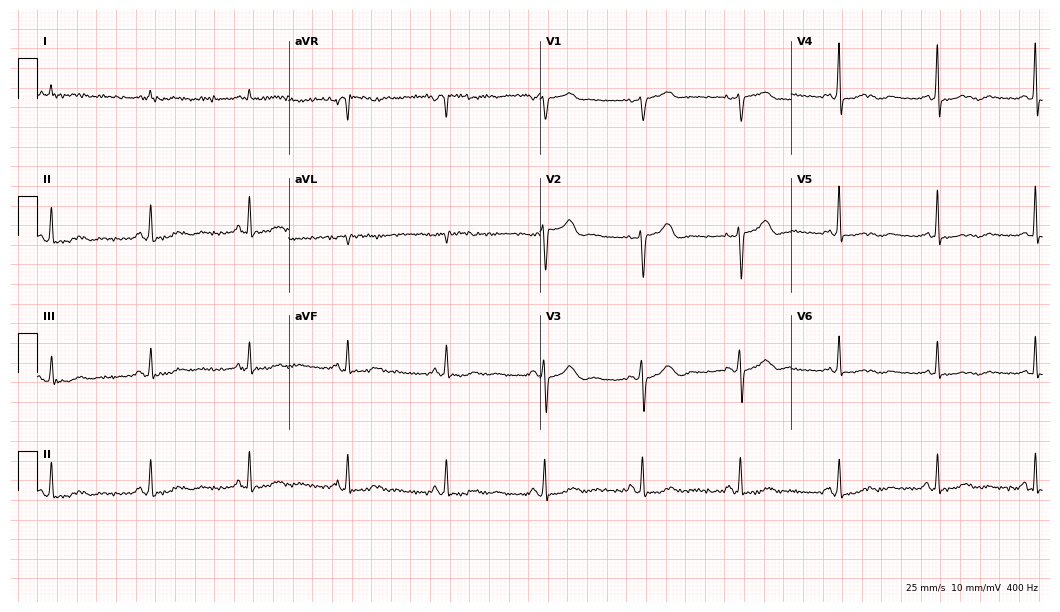
Standard 12-lead ECG recorded from a female patient, 66 years old (10.2-second recording at 400 Hz). None of these six findings is recorded: first-degree AV block, right bundle branch block (RBBB), left bundle branch block (LBBB), sinus bradycardia, atrial fibrillation (AF), sinus tachycardia. Other findings, if any, are not listed.